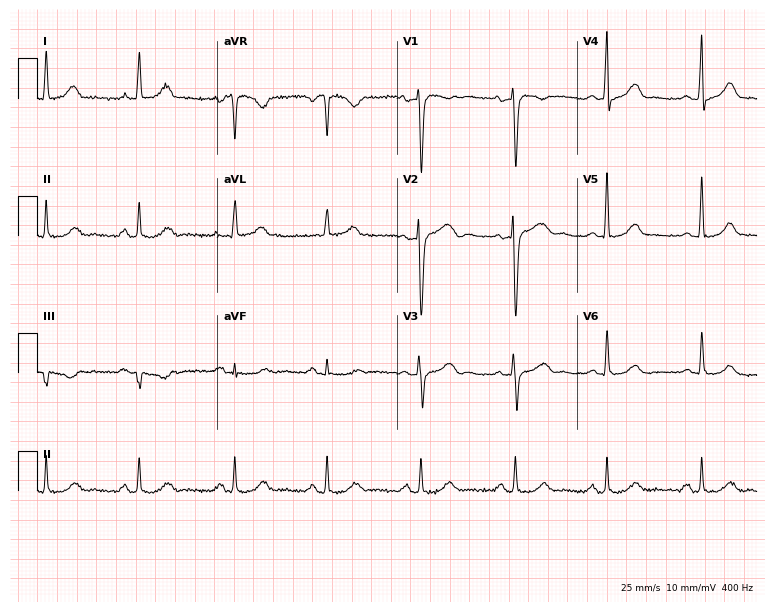
12-lead ECG from a male patient, 58 years old (7.3-second recording at 400 Hz). Recorded interpretation: within normal limits.